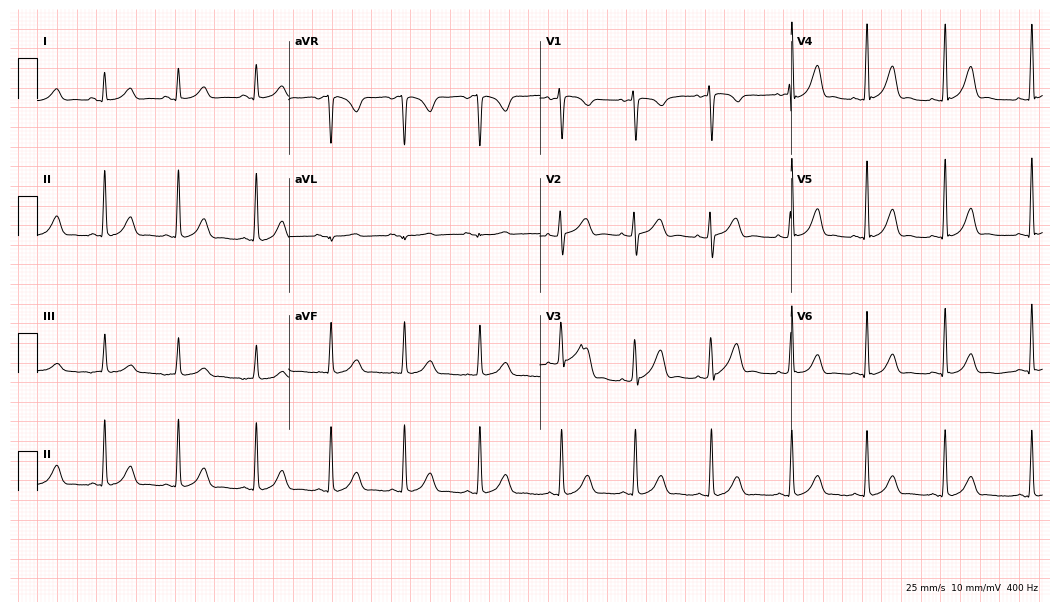
Electrocardiogram, a female patient, 25 years old. Overall reading on record: normal ECG.